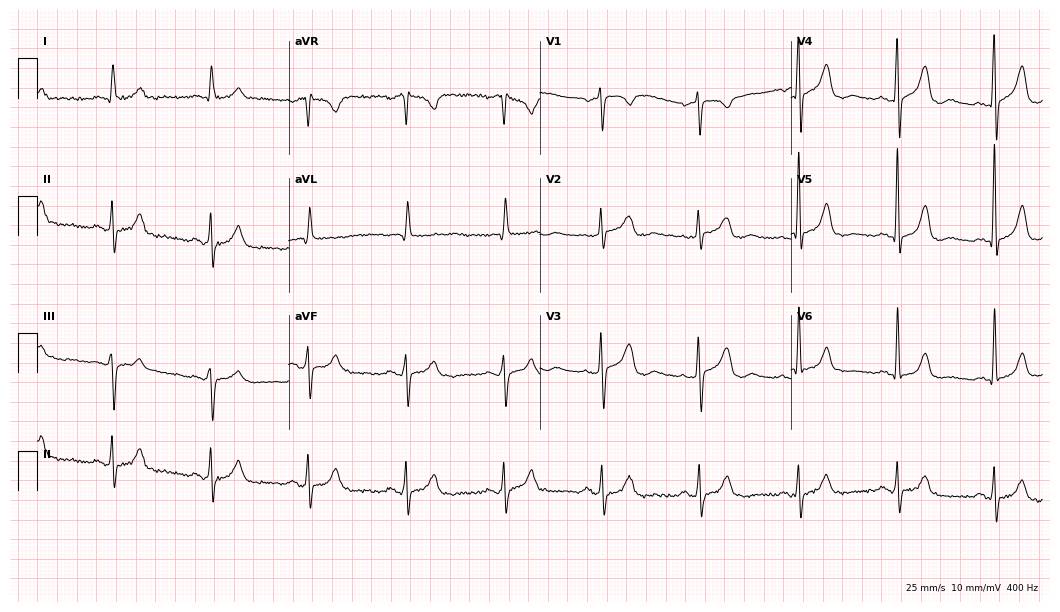
Electrocardiogram, a woman, 74 years old. Of the six screened findings (first-degree AV block, right bundle branch block, left bundle branch block, sinus bradycardia, atrial fibrillation, sinus tachycardia), none is recorded.